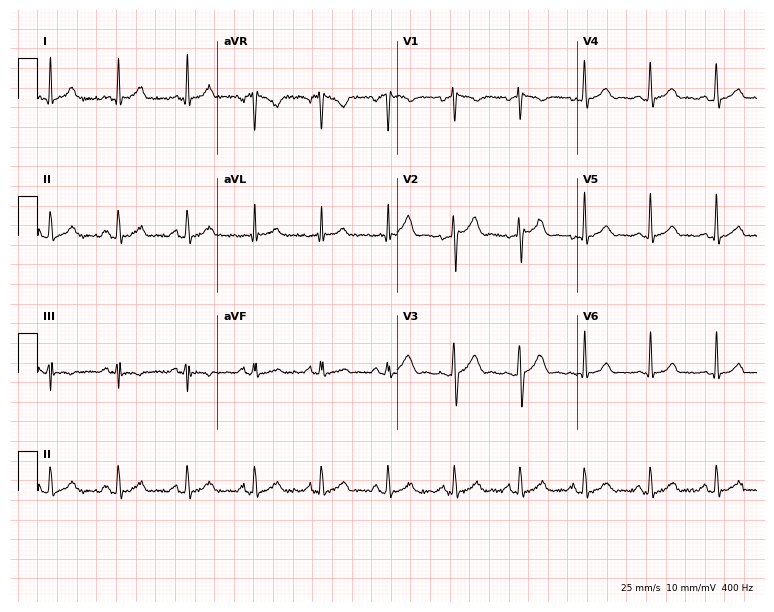
Electrocardiogram (7.3-second recording at 400 Hz), a male patient, 46 years old. Of the six screened findings (first-degree AV block, right bundle branch block (RBBB), left bundle branch block (LBBB), sinus bradycardia, atrial fibrillation (AF), sinus tachycardia), none is recorded.